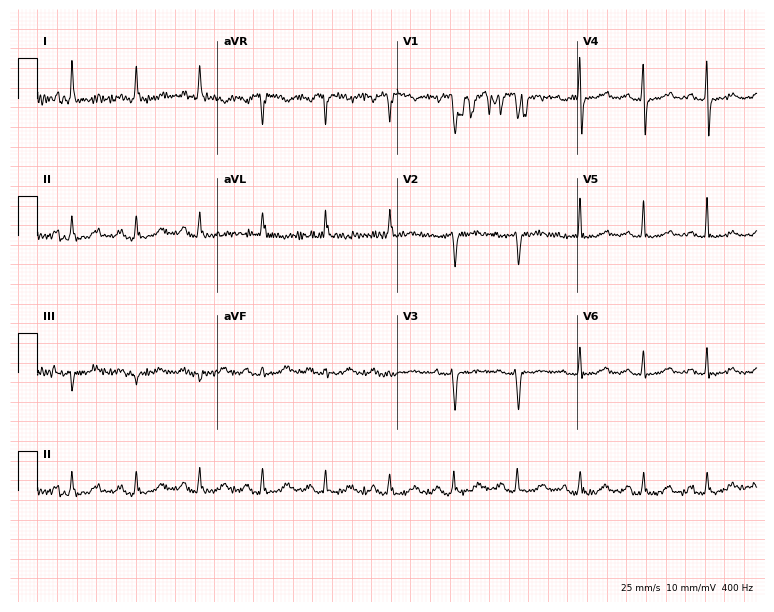
Standard 12-lead ECG recorded from a 66-year-old female patient (7.3-second recording at 400 Hz). None of these six findings is recorded: first-degree AV block, right bundle branch block (RBBB), left bundle branch block (LBBB), sinus bradycardia, atrial fibrillation (AF), sinus tachycardia. Other findings, if any, are not listed.